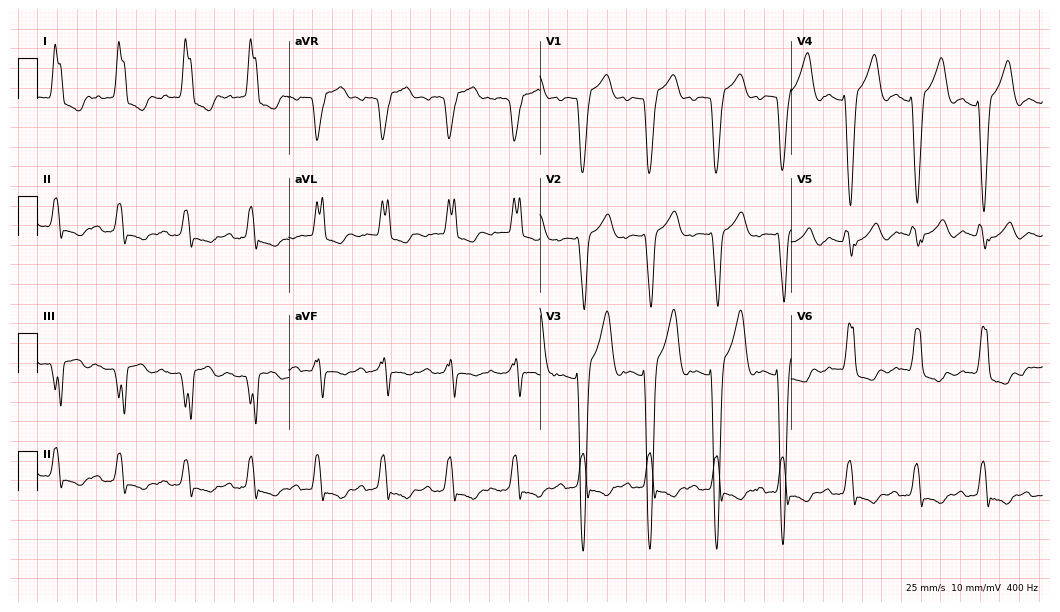
ECG (10.2-second recording at 400 Hz) — a male patient, 84 years old. Findings include left bundle branch block.